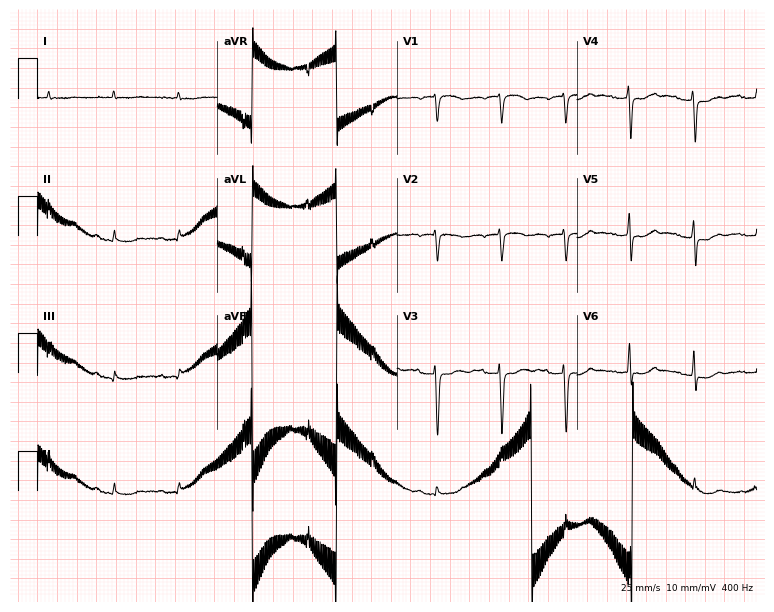
12-lead ECG from a man, 81 years old. No first-degree AV block, right bundle branch block, left bundle branch block, sinus bradycardia, atrial fibrillation or sinus tachycardia recorded for this tracing. Findings outside these six are not listed.